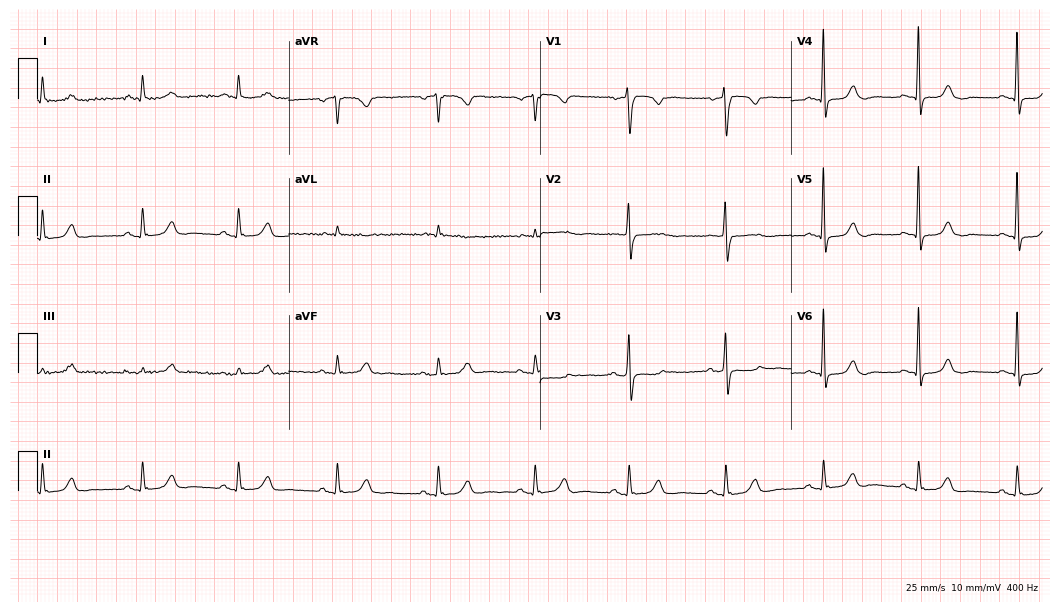
Resting 12-lead electrocardiogram. Patient: a 71-year-old female. Read as a normal ECG.